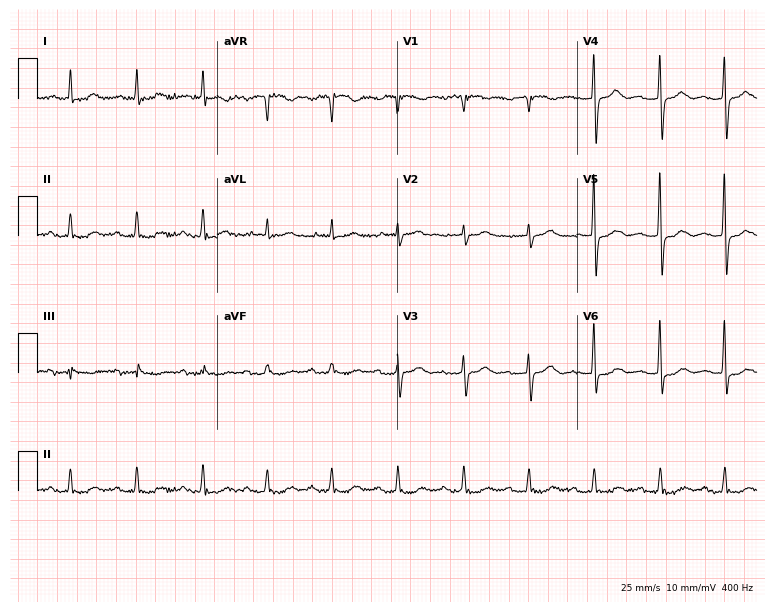
12-lead ECG (7.3-second recording at 400 Hz) from a female, 80 years old. Findings include first-degree AV block.